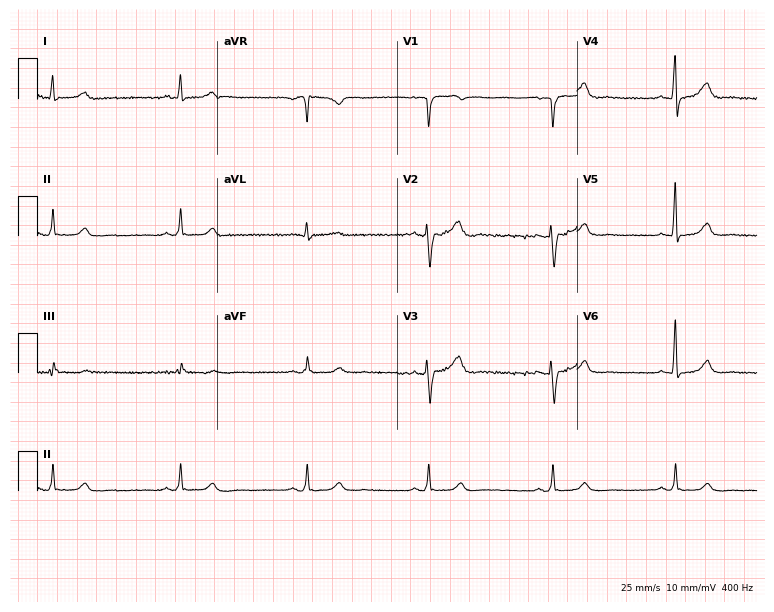
12-lead ECG (7.3-second recording at 400 Hz) from a 56-year-old female. Findings include sinus bradycardia (a sinus rate of 50 beats per minute or less).